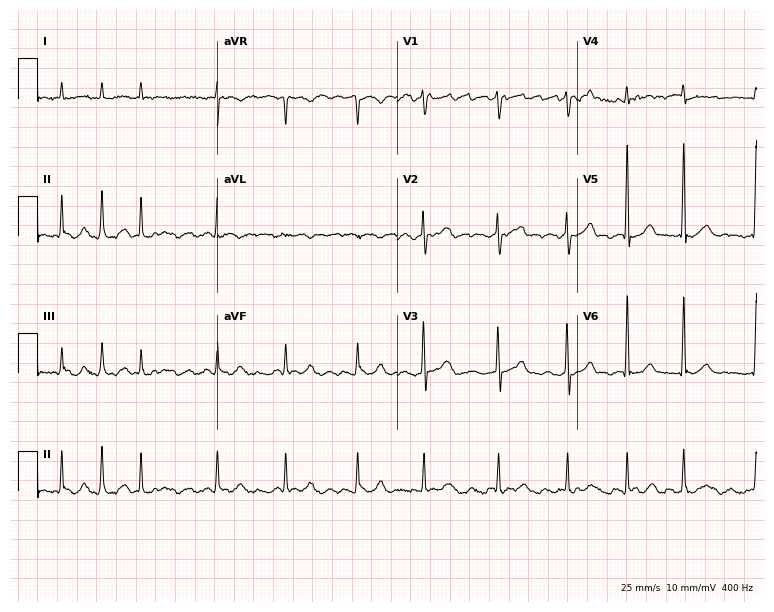
ECG — a 59-year-old female. Findings include atrial fibrillation.